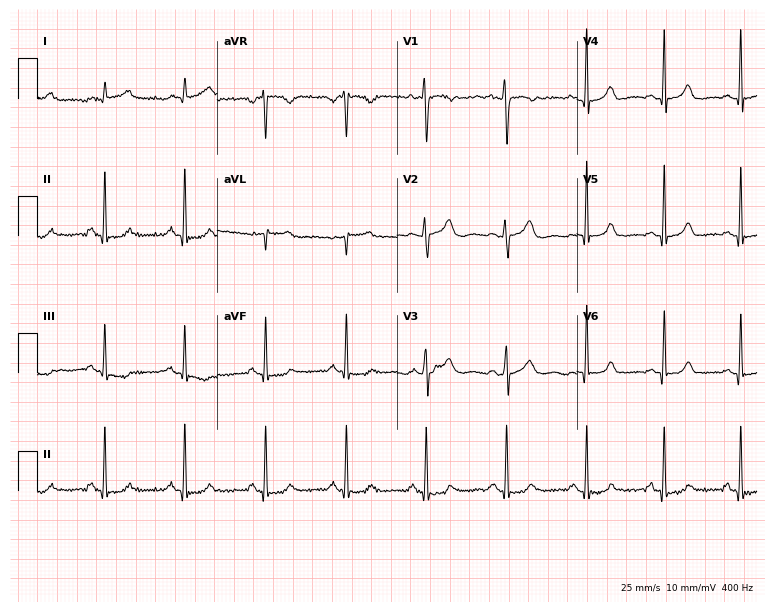
12-lead ECG from a 28-year-old woman. Recorded interpretation: within normal limits.